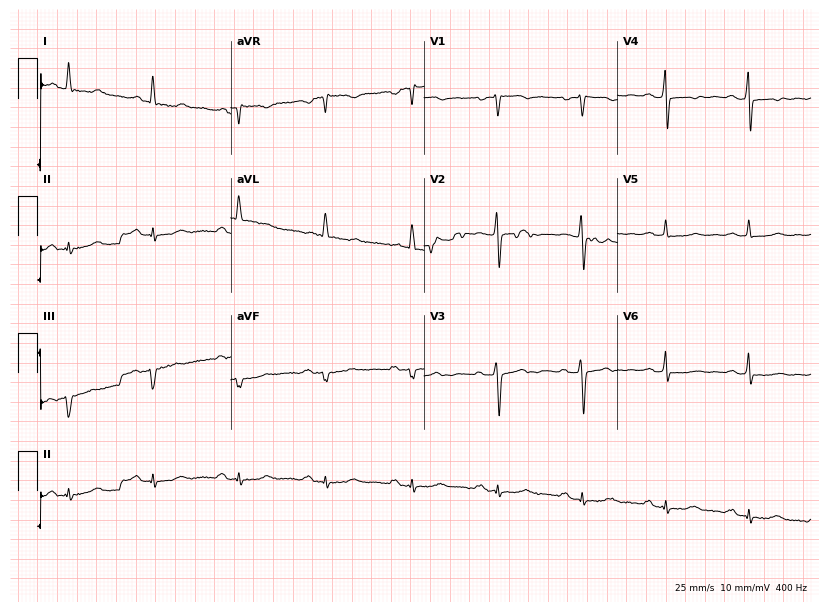
12-lead ECG from a woman, 52 years old. Labelled as a normal ECG.